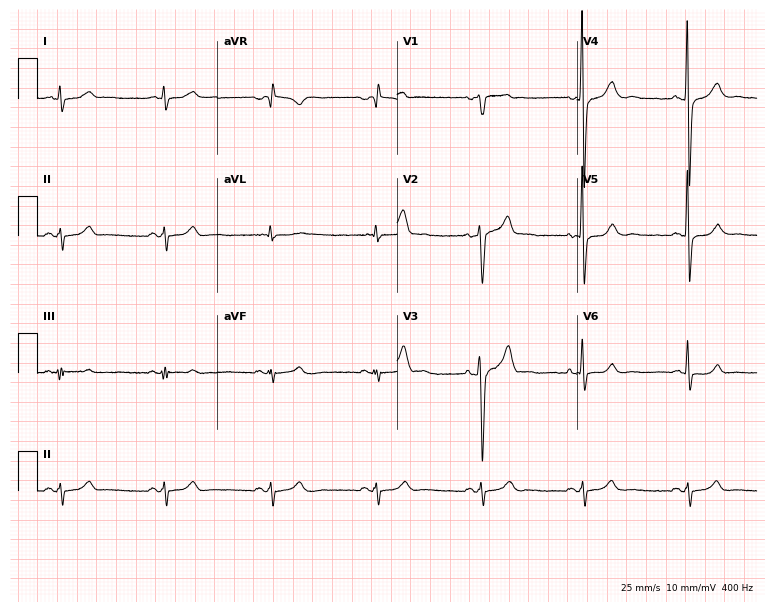
Resting 12-lead electrocardiogram (7.3-second recording at 400 Hz). Patient: a man, 51 years old. None of these six findings is recorded: first-degree AV block, right bundle branch block, left bundle branch block, sinus bradycardia, atrial fibrillation, sinus tachycardia.